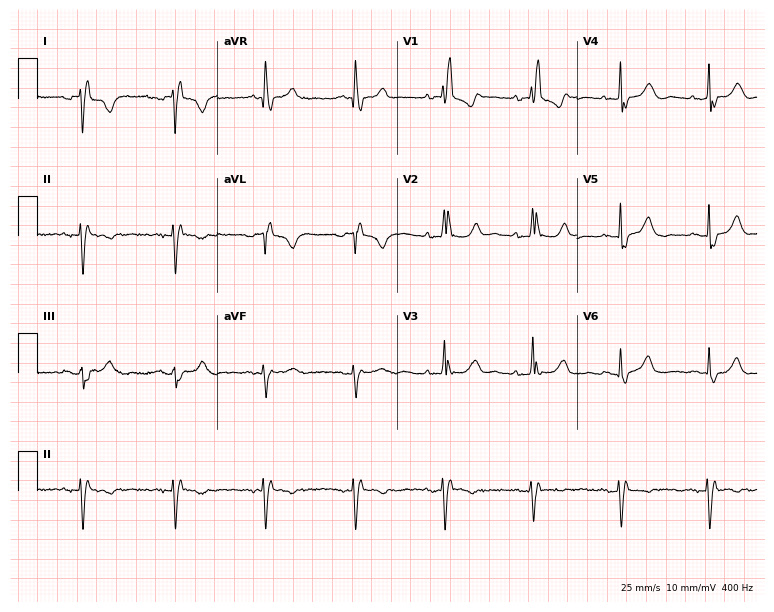
Standard 12-lead ECG recorded from an 80-year-old woman (7.3-second recording at 400 Hz). None of these six findings is recorded: first-degree AV block, right bundle branch block, left bundle branch block, sinus bradycardia, atrial fibrillation, sinus tachycardia. Findings outside these six are not listed.